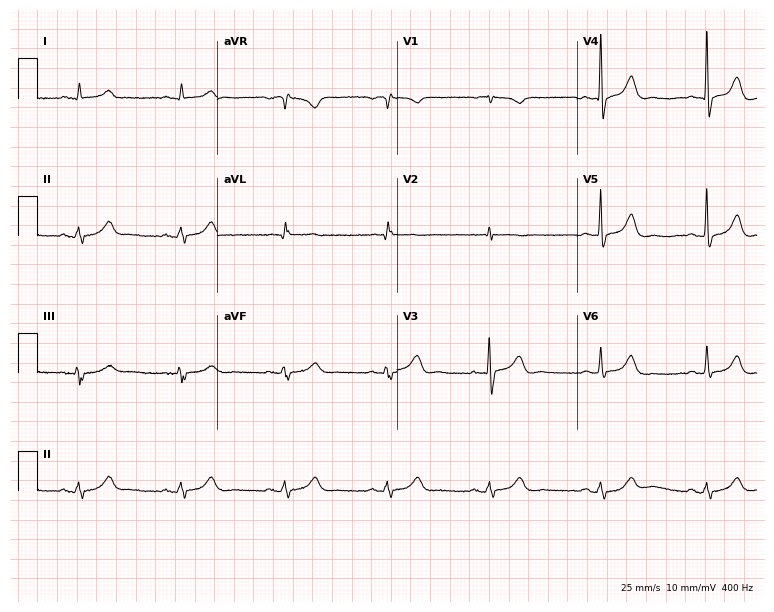
Electrocardiogram, an 84-year-old male patient. Of the six screened findings (first-degree AV block, right bundle branch block (RBBB), left bundle branch block (LBBB), sinus bradycardia, atrial fibrillation (AF), sinus tachycardia), none is recorded. Other findings, if any, are not listed.